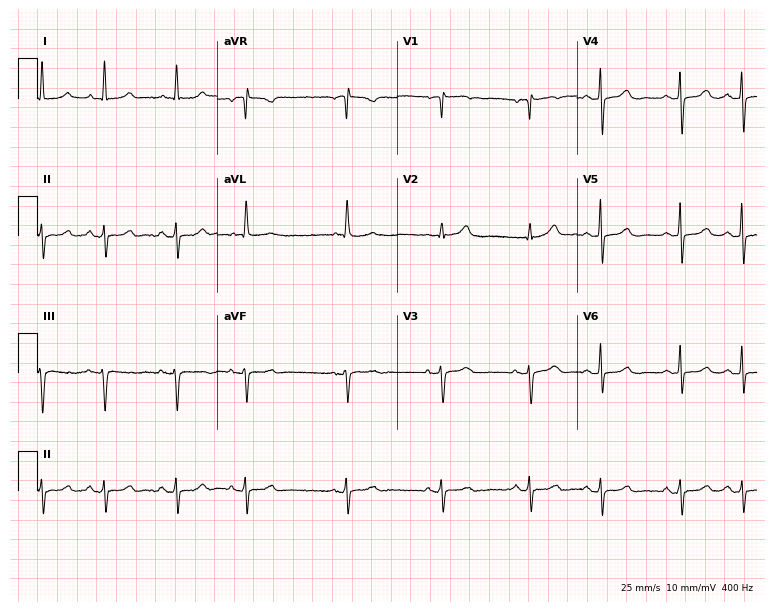
ECG (7.3-second recording at 400 Hz) — a 71-year-old woman. Screened for six findings — first-degree AV block, right bundle branch block (RBBB), left bundle branch block (LBBB), sinus bradycardia, atrial fibrillation (AF), sinus tachycardia — none is recorded.